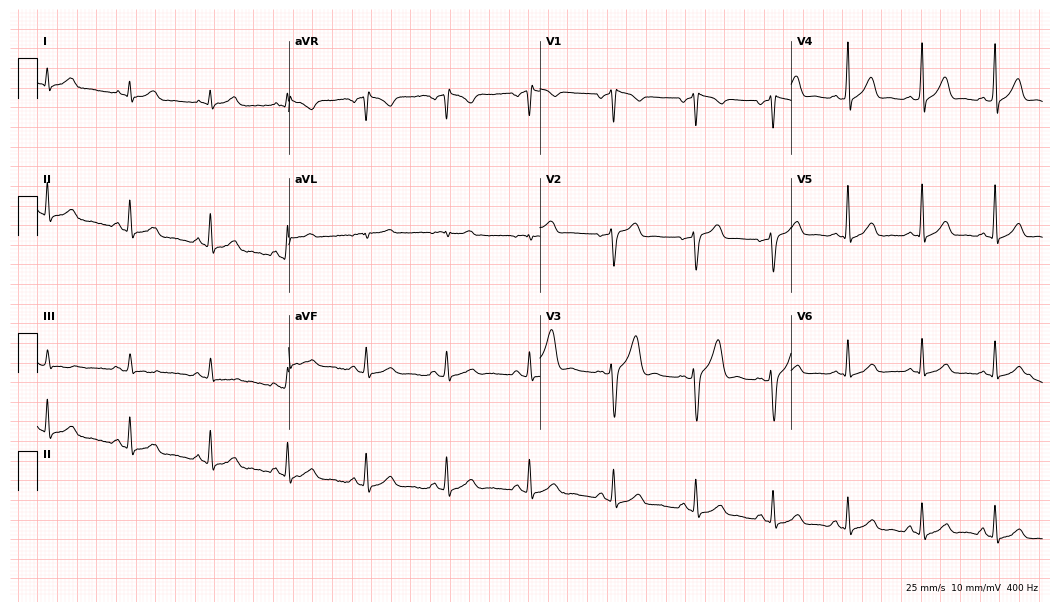
Electrocardiogram, a 39-year-old male patient. Of the six screened findings (first-degree AV block, right bundle branch block, left bundle branch block, sinus bradycardia, atrial fibrillation, sinus tachycardia), none is recorded. Other findings, if any, are not listed.